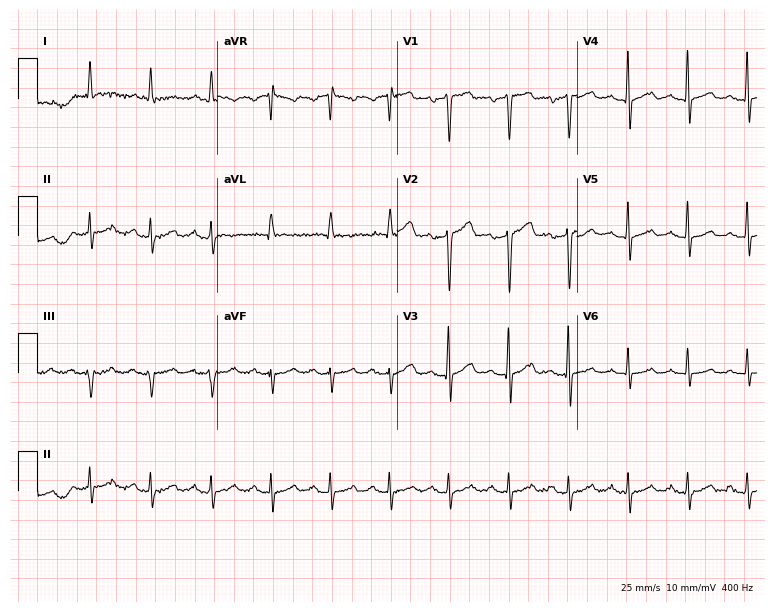
12-lead ECG from a 68-year-old male. No first-degree AV block, right bundle branch block (RBBB), left bundle branch block (LBBB), sinus bradycardia, atrial fibrillation (AF) or sinus tachycardia recorded for this tracing.